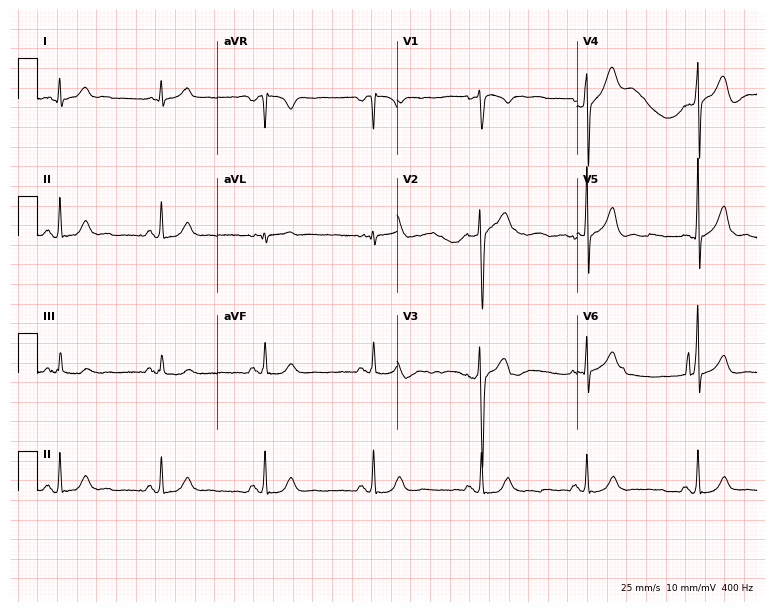
Electrocardiogram (7.3-second recording at 400 Hz), a male, 48 years old. Overall reading on record: normal ECG.